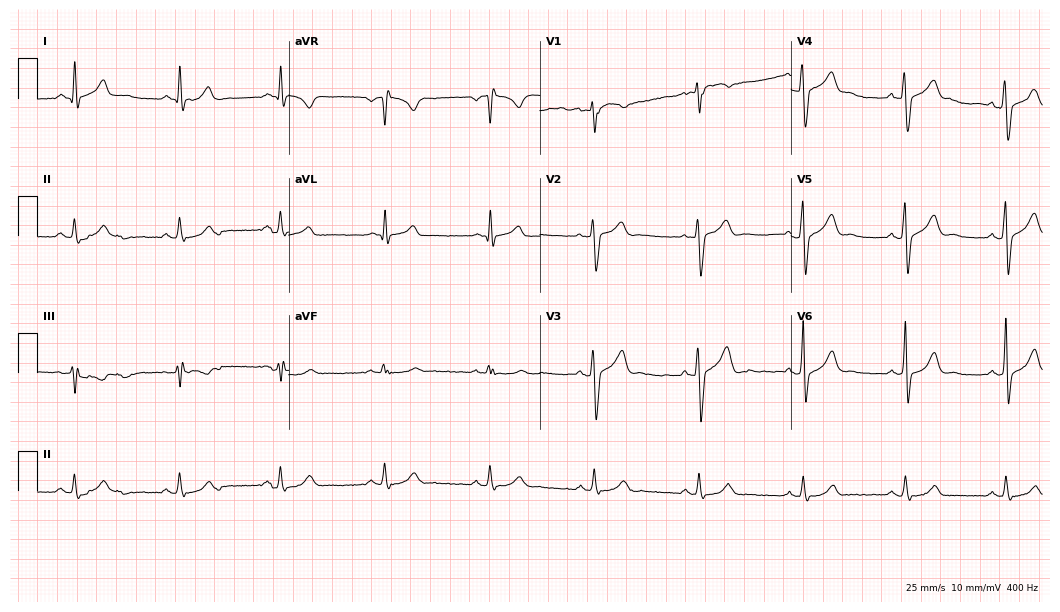
12-lead ECG from a 42-year-old male. Recorded interpretation: within normal limits.